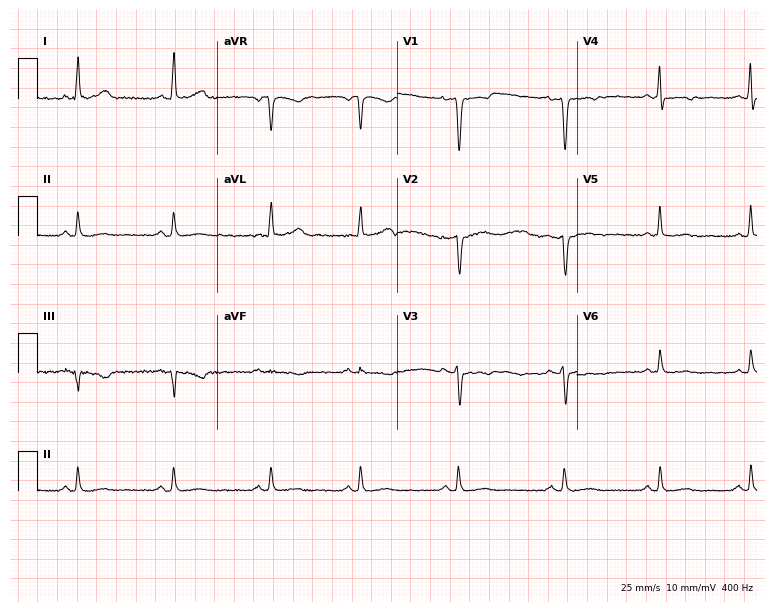
12-lead ECG from a 39-year-old female patient. Screened for six findings — first-degree AV block, right bundle branch block, left bundle branch block, sinus bradycardia, atrial fibrillation, sinus tachycardia — none is recorded. Other findings, if any, are not listed.